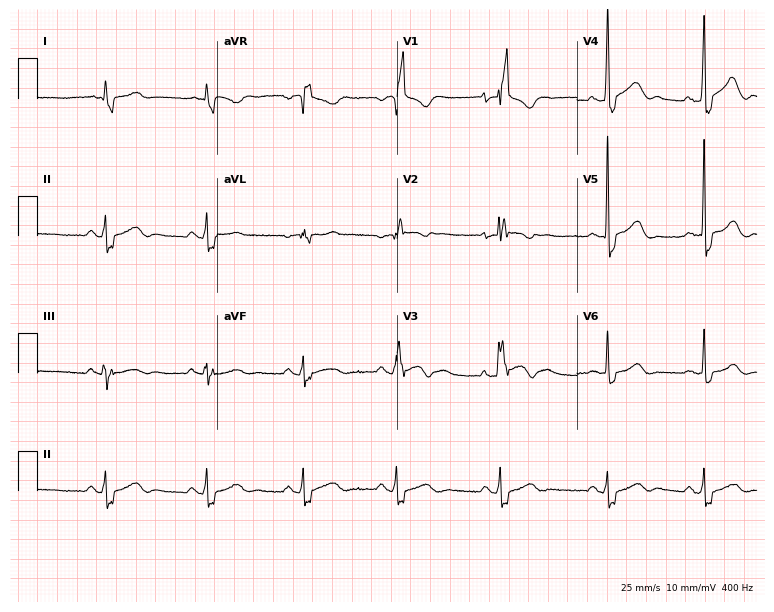
12-lead ECG (7.3-second recording at 400 Hz) from a 73-year-old male. Findings include right bundle branch block (RBBB).